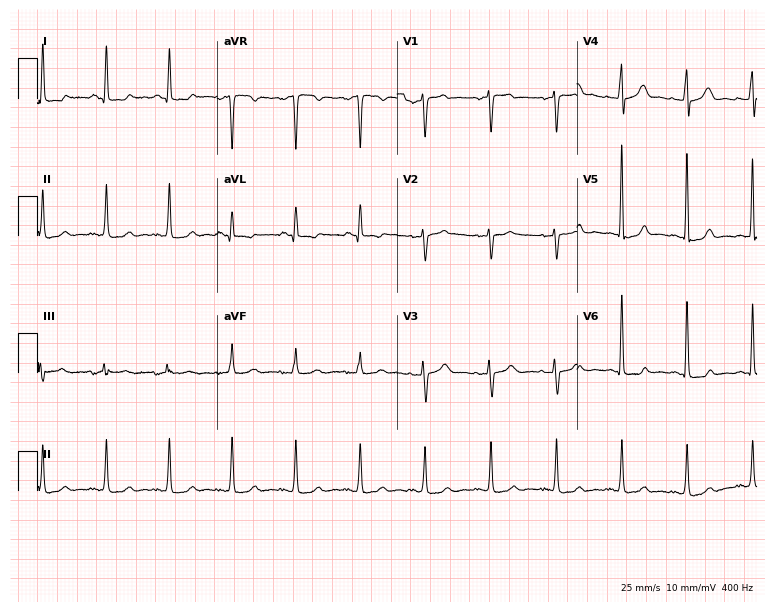
12-lead ECG from a 59-year-old female. Screened for six findings — first-degree AV block, right bundle branch block, left bundle branch block, sinus bradycardia, atrial fibrillation, sinus tachycardia — none is recorded. Only these six findings were labelled.